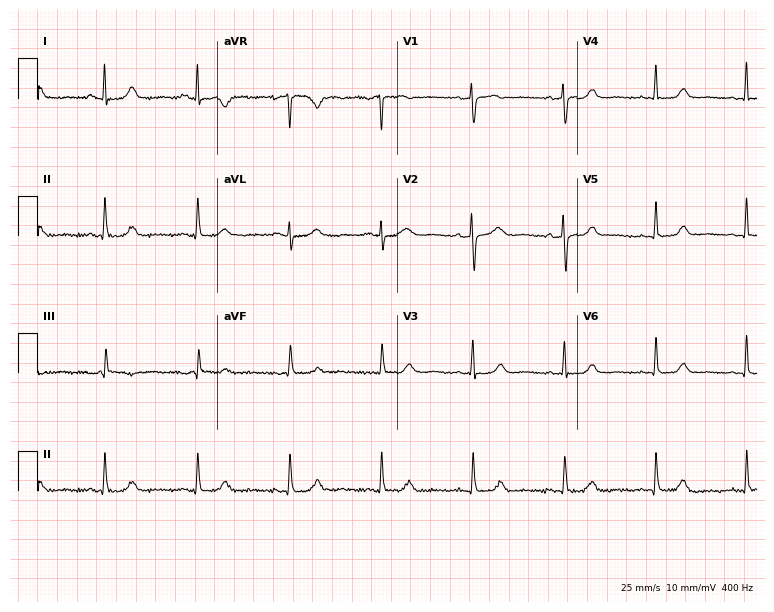
Electrocardiogram, a 55-year-old female. Overall reading on record: normal ECG.